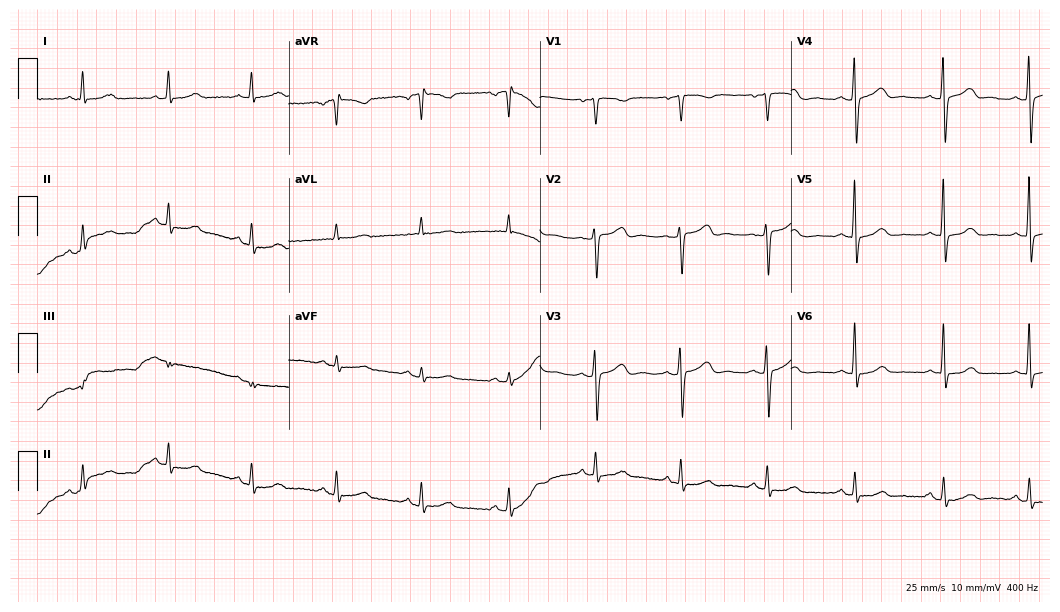
Standard 12-lead ECG recorded from a 56-year-old woman (10.2-second recording at 400 Hz). Read as a normal ECG.